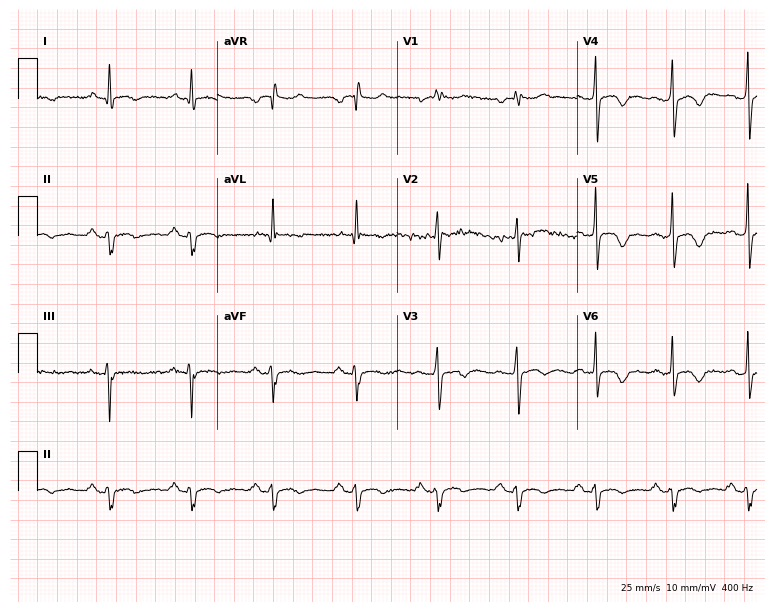
Standard 12-lead ECG recorded from a 40-year-old male. None of these six findings is recorded: first-degree AV block, right bundle branch block (RBBB), left bundle branch block (LBBB), sinus bradycardia, atrial fibrillation (AF), sinus tachycardia. Only these six findings were labelled.